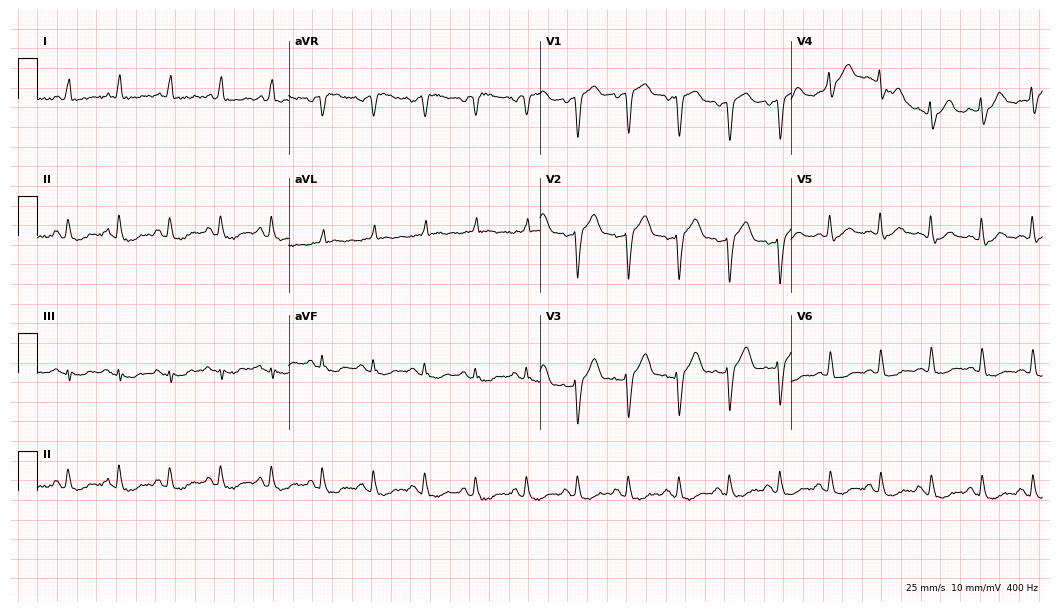
12-lead ECG from a 66-year-old male patient. Shows sinus tachycardia (a sinus rate of 100 beats per minute or more).